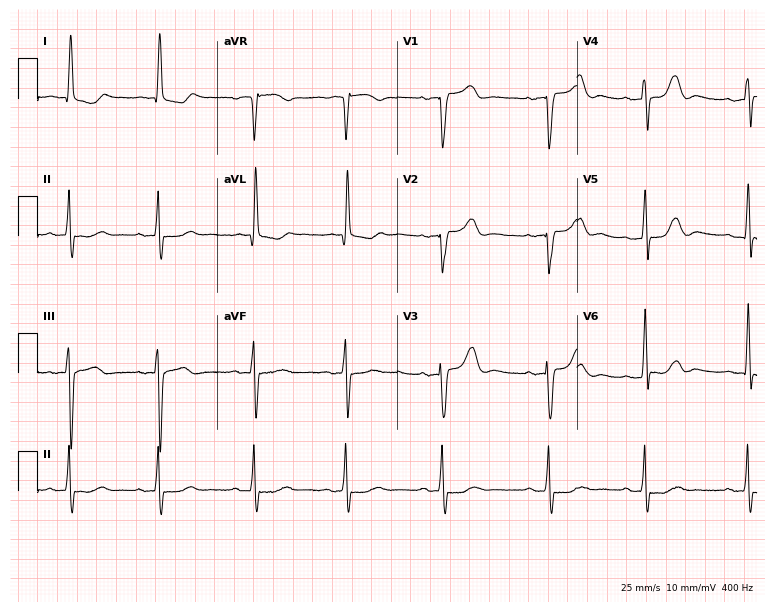
ECG — a female, 82 years old. Screened for six findings — first-degree AV block, right bundle branch block, left bundle branch block, sinus bradycardia, atrial fibrillation, sinus tachycardia — none is recorded. Findings outside these six are not listed.